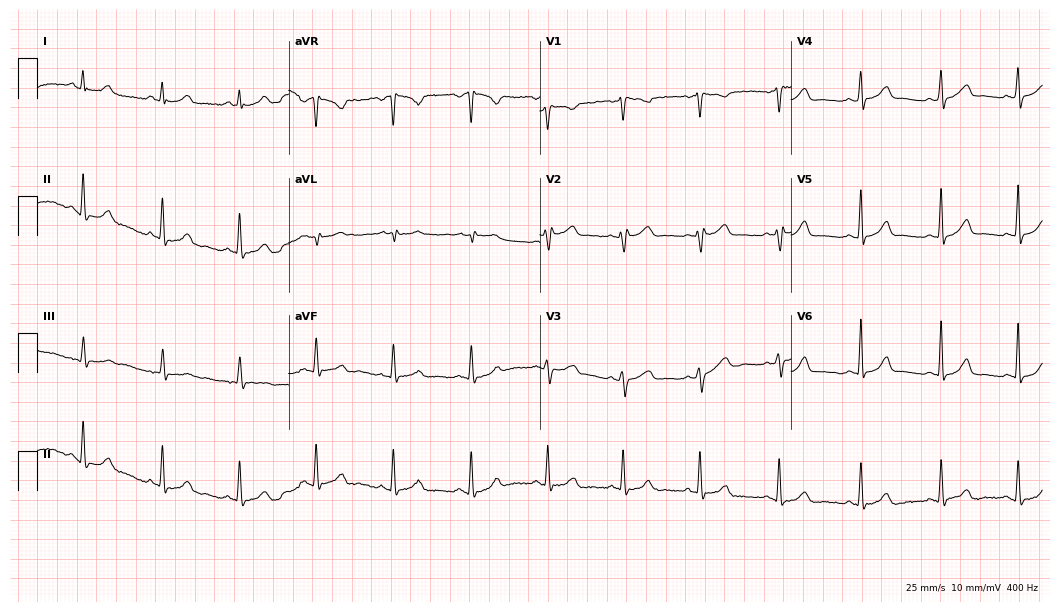
Resting 12-lead electrocardiogram. Patient: a 35-year-old female. Read as a normal ECG.